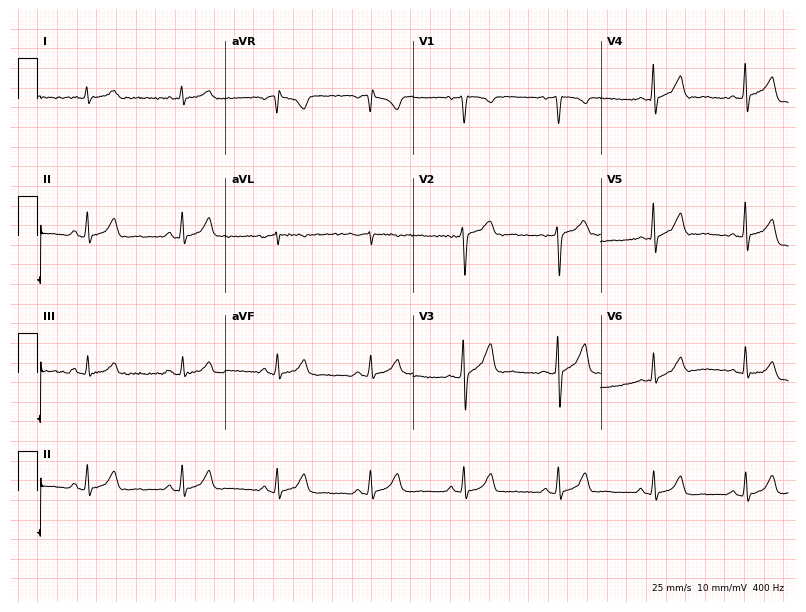
12-lead ECG from a 35-year-old male (7.7-second recording at 400 Hz). No first-degree AV block, right bundle branch block (RBBB), left bundle branch block (LBBB), sinus bradycardia, atrial fibrillation (AF) or sinus tachycardia recorded for this tracing. Other findings, if any, are not listed.